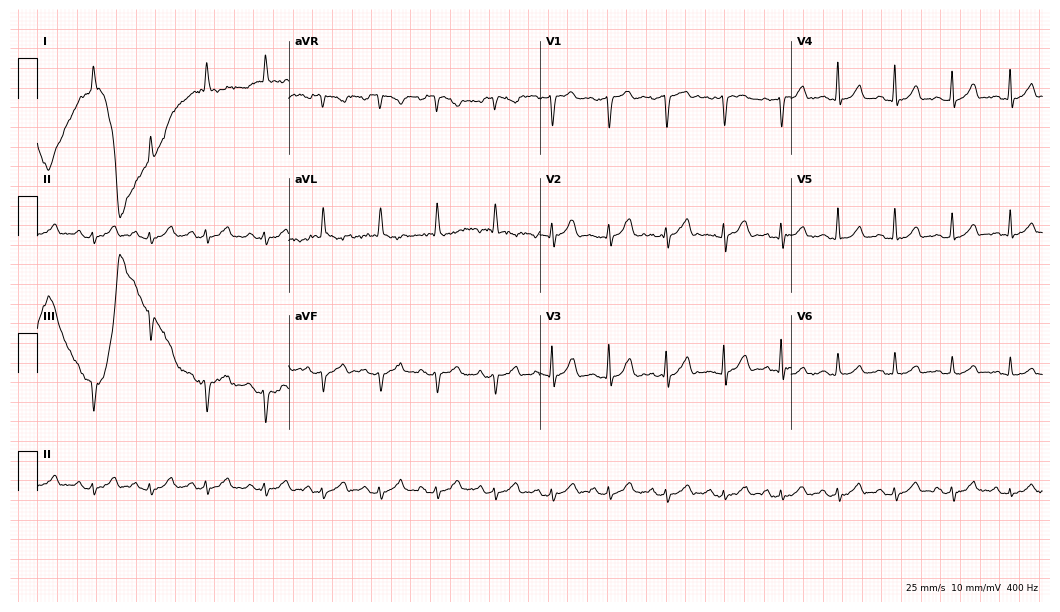
12-lead ECG from a female, 84 years old (10.2-second recording at 400 Hz). Shows sinus tachycardia (a sinus rate of 100 beats per minute or more).